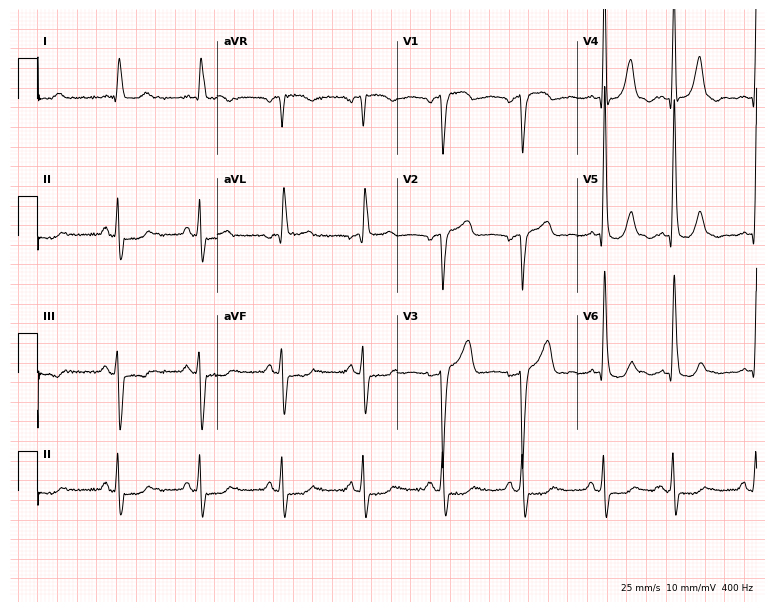
Electrocardiogram, an 80-year-old male. Of the six screened findings (first-degree AV block, right bundle branch block, left bundle branch block, sinus bradycardia, atrial fibrillation, sinus tachycardia), none is recorded.